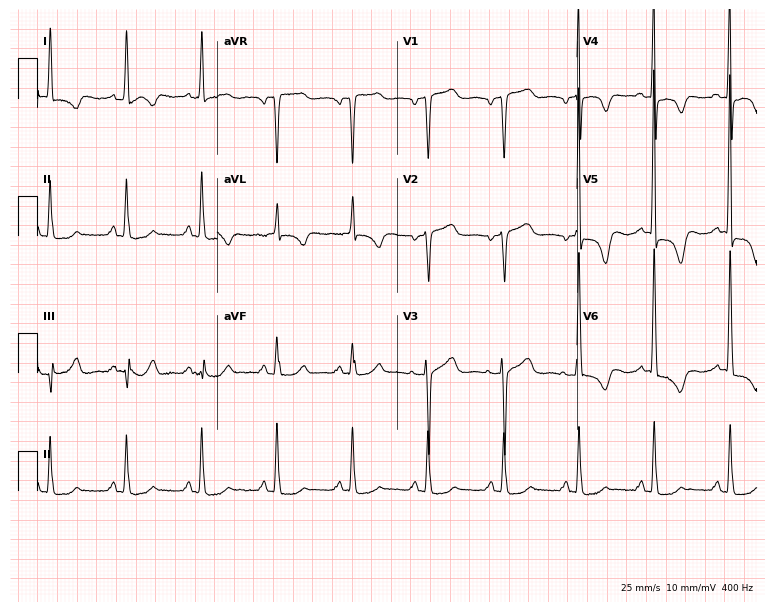
12-lead ECG from a female, 79 years old. Screened for six findings — first-degree AV block, right bundle branch block, left bundle branch block, sinus bradycardia, atrial fibrillation, sinus tachycardia — none is recorded. Other findings, if any, are not listed.